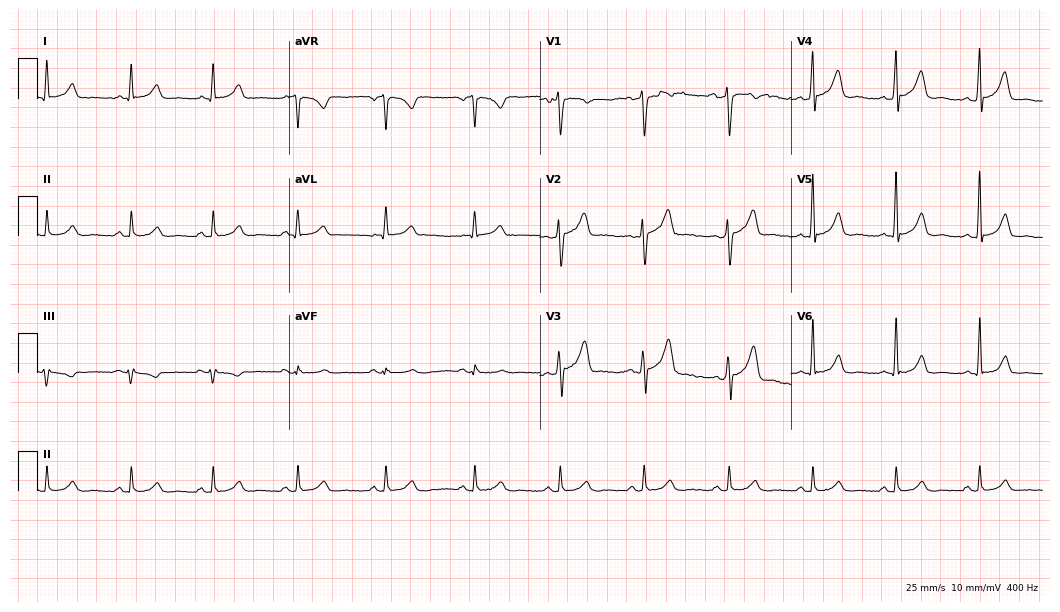
Standard 12-lead ECG recorded from a 44-year-old male (10.2-second recording at 400 Hz). Read as a normal ECG.